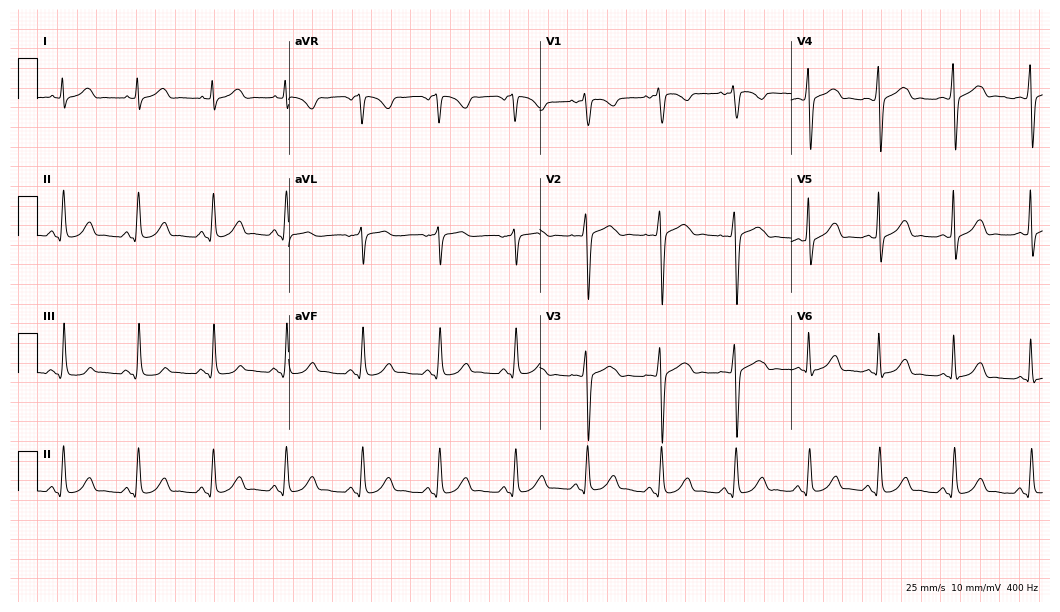
12-lead ECG (10.2-second recording at 400 Hz) from a 33-year-old woman. Screened for six findings — first-degree AV block, right bundle branch block, left bundle branch block, sinus bradycardia, atrial fibrillation, sinus tachycardia — none is recorded.